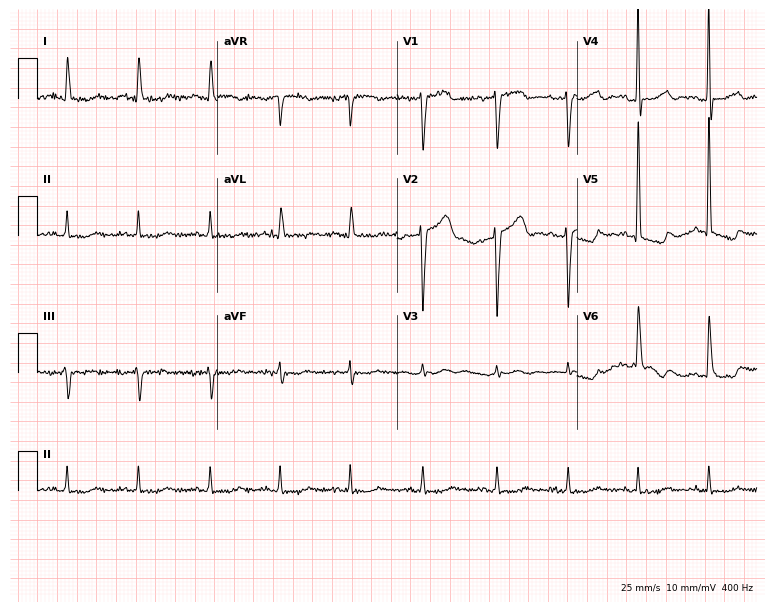
Electrocardiogram, an 85-year-old woman. Of the six screened findings (first-degree AV block, right bundle branch block, left bundle branch block, sinus bradycardia, atrial fibrillation, sinus tachycardia), none is recorded.